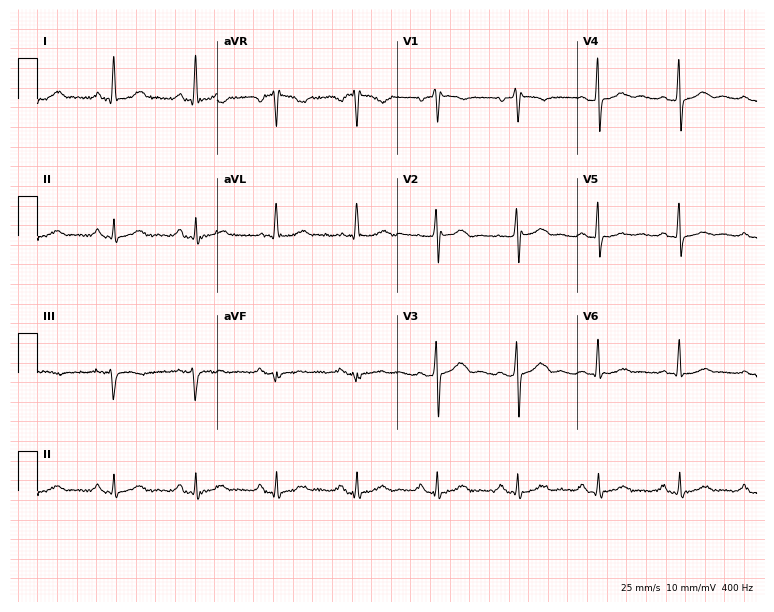
Resting 12-lead electrocardiogram. Patient: a woman, 56 years old. None of these six findings is recorded: first-degree AV block, right bundle branch block, left bundle branch block, sinus bradycardia, atrial fibrillation, sinus tachycardia. Other findings, if any, are not listed.